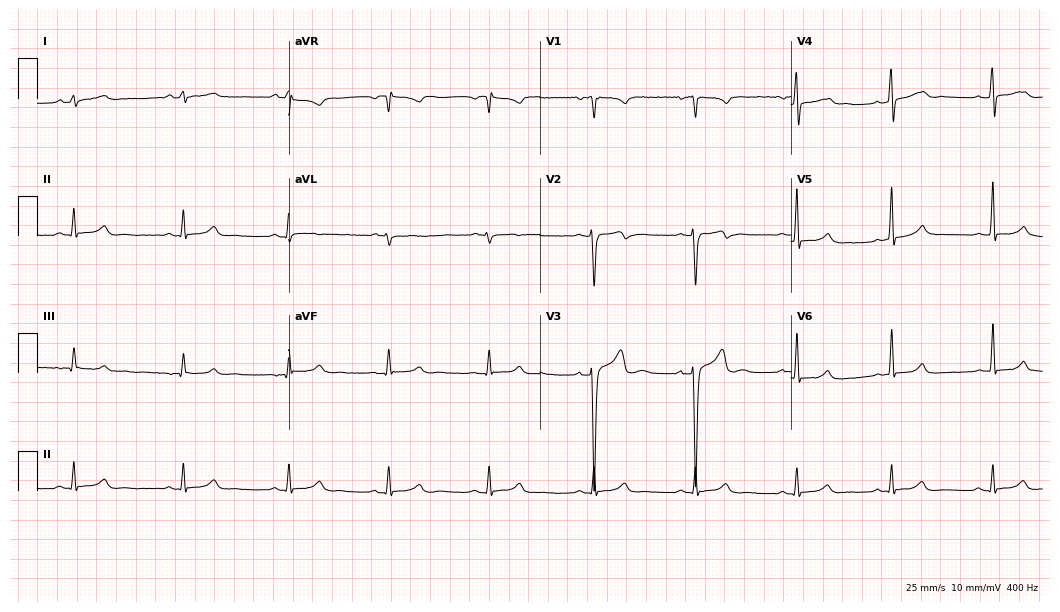
Resting 12-lead electrocardiogram (10.2-second recording at 400 Hz). Patient: a male, 22 years old. Read as a normal ECG.